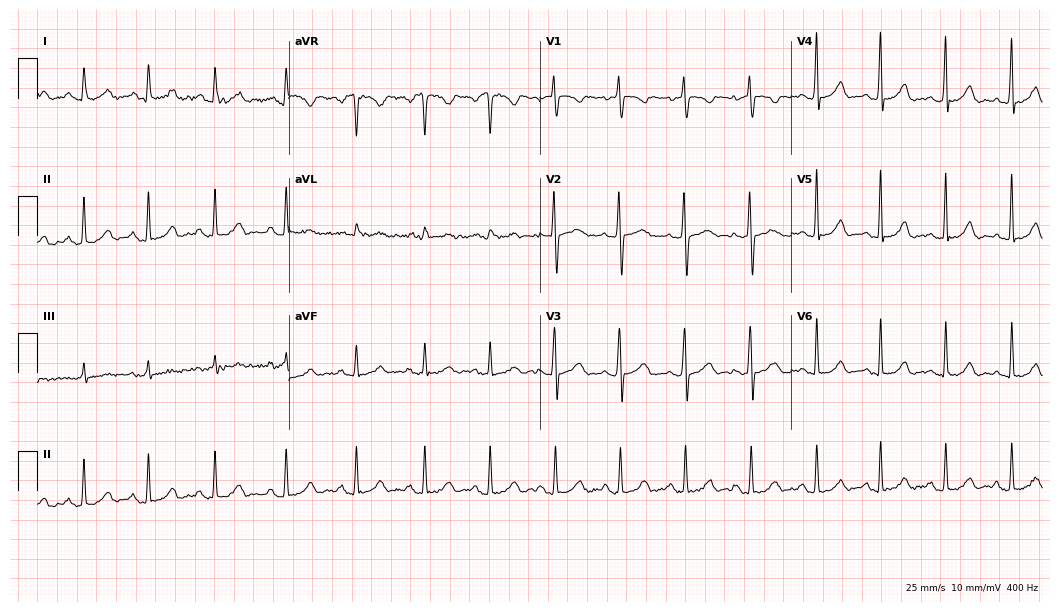
12-lead ECG from a woman, 18 years old. Labelled as a normal ECG.